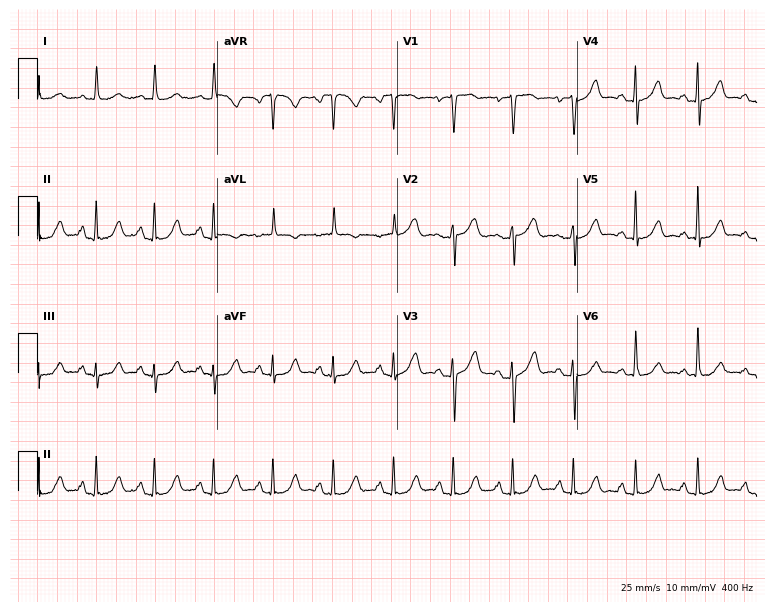
Electrocardiogram, a 65-year-old woman. Overall reading on record: normal ECG.